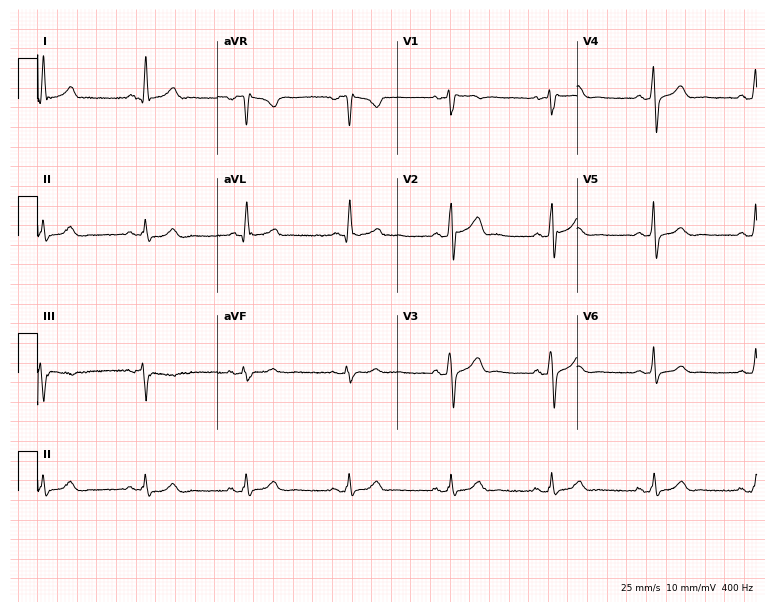
Electrocardiogram, a male, 65 years old. Overall reading on record: normal ECG.